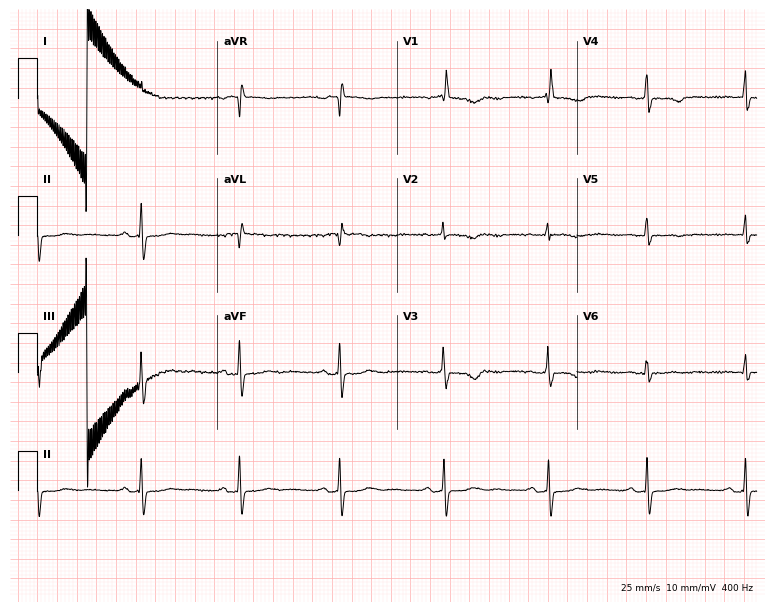
ECG (7.3-second recording at 400 Hz) — a 63-year-old woman. Screened for six findings — first-degree AV block, right bundle branch block (RBBB), left bundle branch block (LBBB), sinus bradycardia, atrial fibrillation (AF), sinus tachycardia — none is recorded. Findings outside these six are not listed.